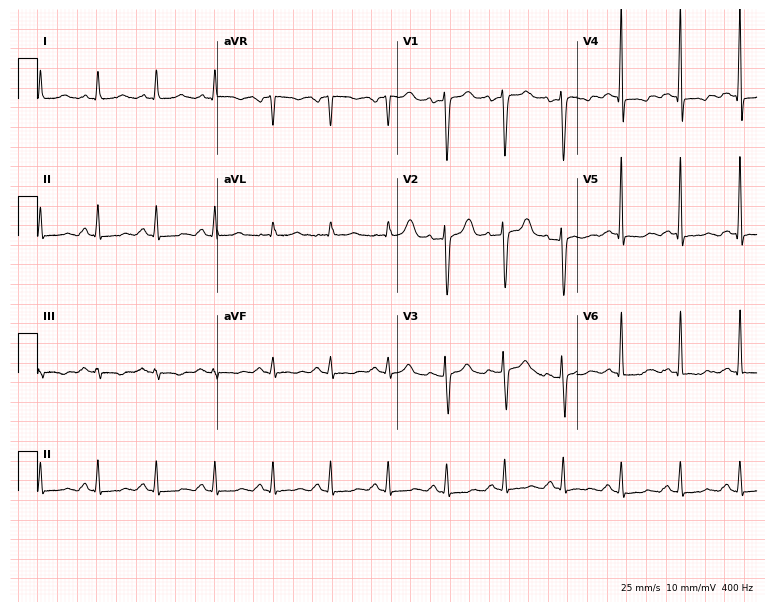
12-lead ECG (7.3-second recording at 400 Hz) from a 39-year-old female. Screened for six findings — first-degree AV block, right bundle branch block (RBBB), left bundle branch block (LBBB), sinus bradycardia, atrial fibrillation (AF), sinus tachycardia — none is recorded.